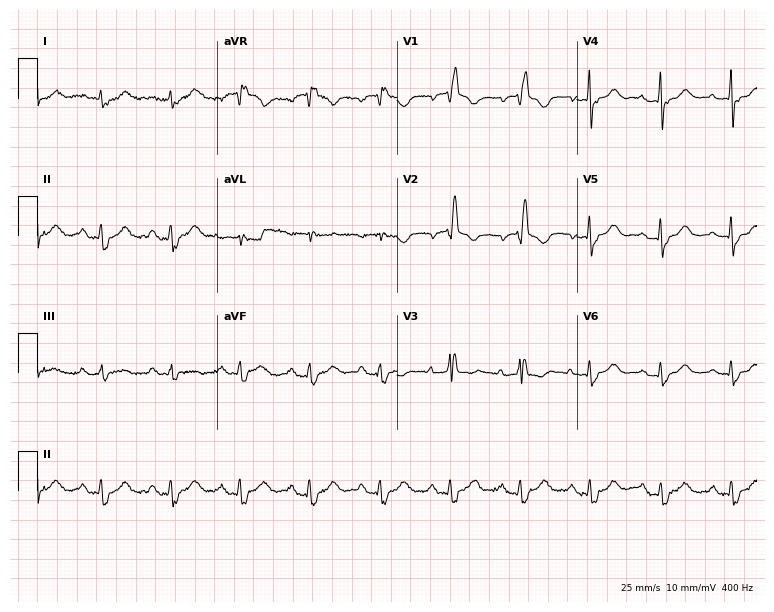
Electrocardiogram, a female patient, 85 years old. Interpretation includes right bundle branch block (RBBB).